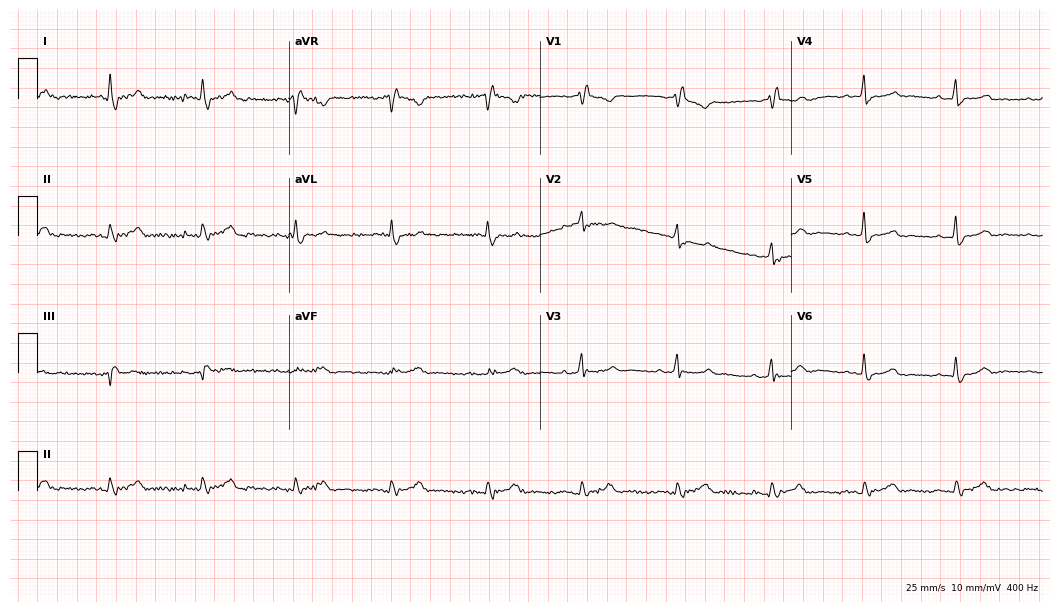
12-lead ECG from a 77-year-old female patient. No first-degree AV block, right bundle branch block, left bundle branch block, sinus bradycardia, atrial fibrillation or sinus tachycardia recorded for this tracing. Other findings, if any, are not listed.